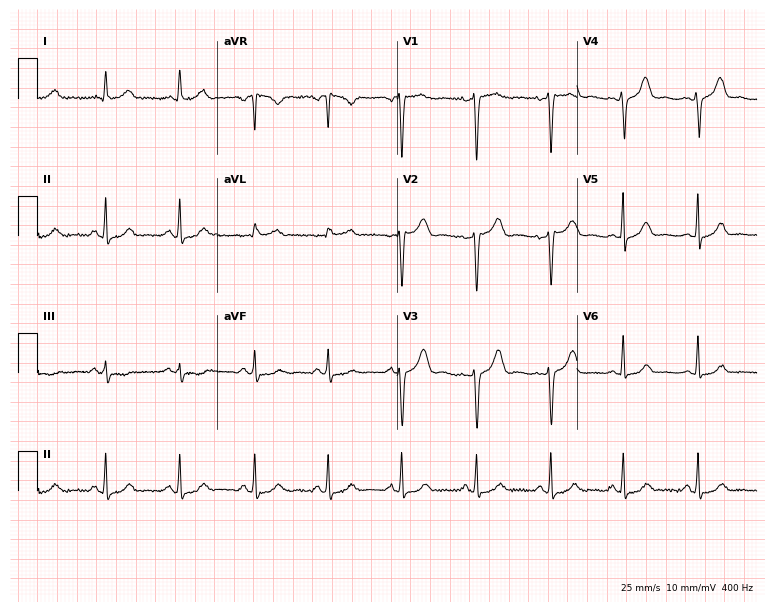
12-lead ECG from a 39-year-old woman. Screened for six findings — first-degree AV block, right bundle branch block, left bundle branch block, sinus bradycardia, atrial fibrillation, sinus tachycardia — none is recorded.